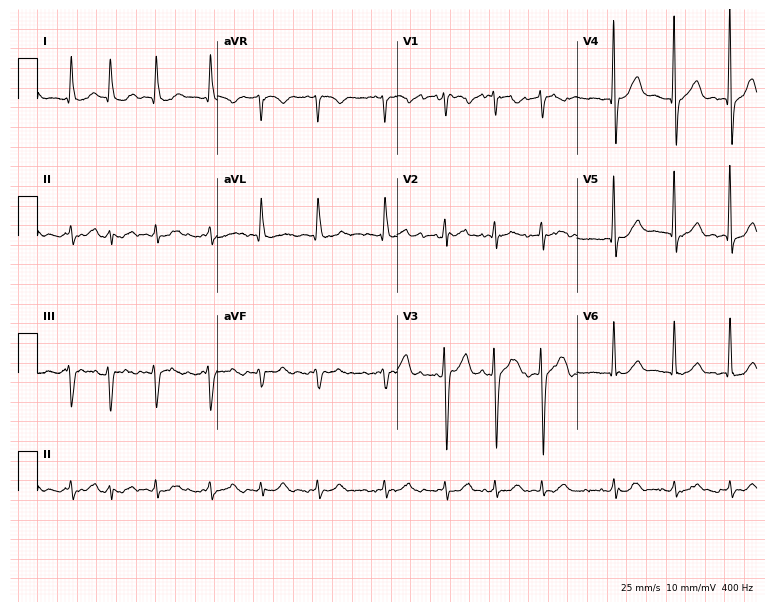
ECG — a 72-year-old man. Findings include atrial fibrillation.